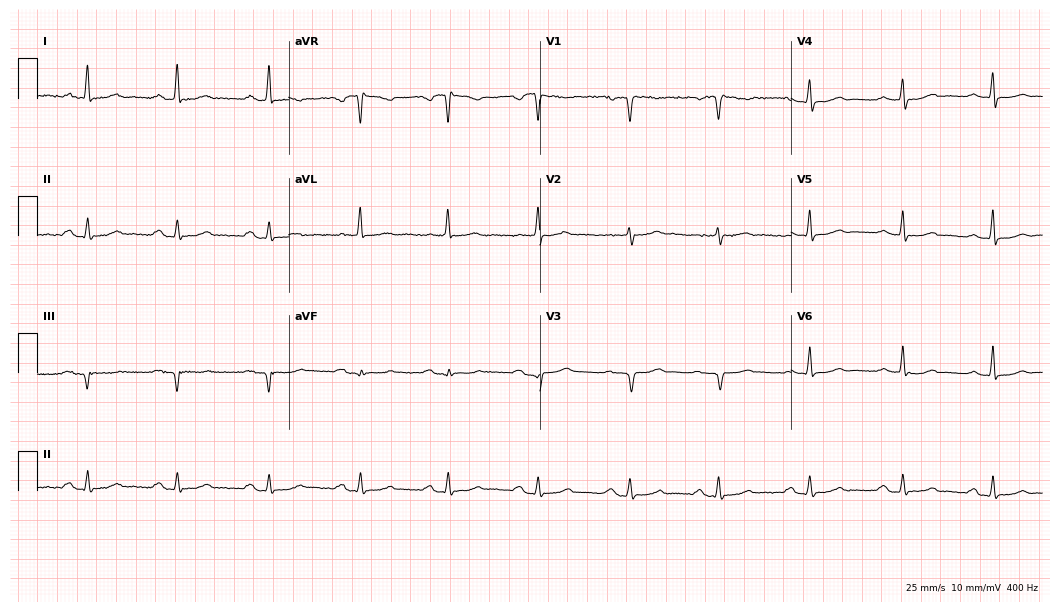
ECG (10.2-second recording at 400 Hz) — a female, 60 years old. Labelled as a normal ECG.